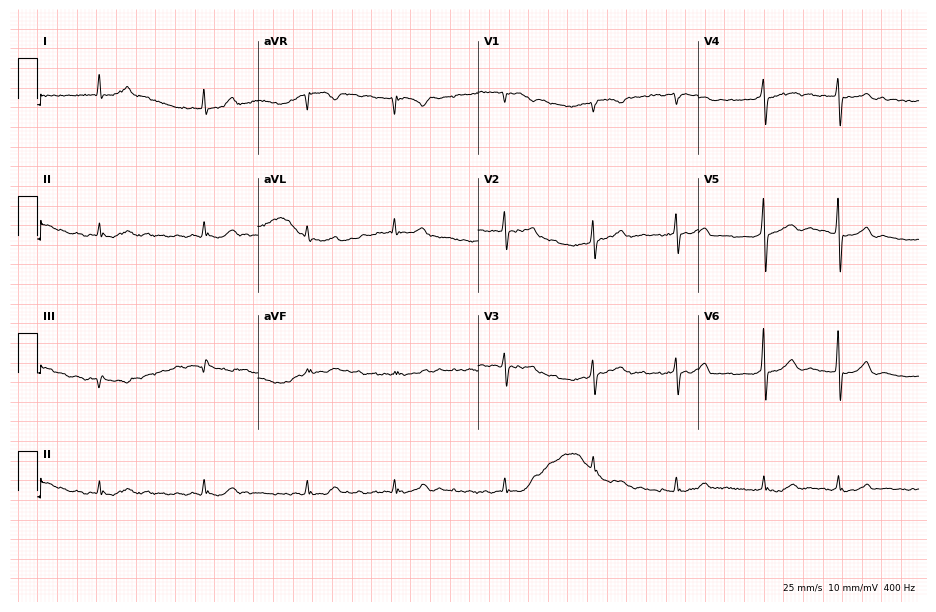
Electrocardiogram, a female patient, 79 years old. Of the six screened findings (first-degree AV block, right bundle branch block, left bundle branch block, sinus bradycardia, atrial fibrillation, sinus tachycardia), none is recorded.